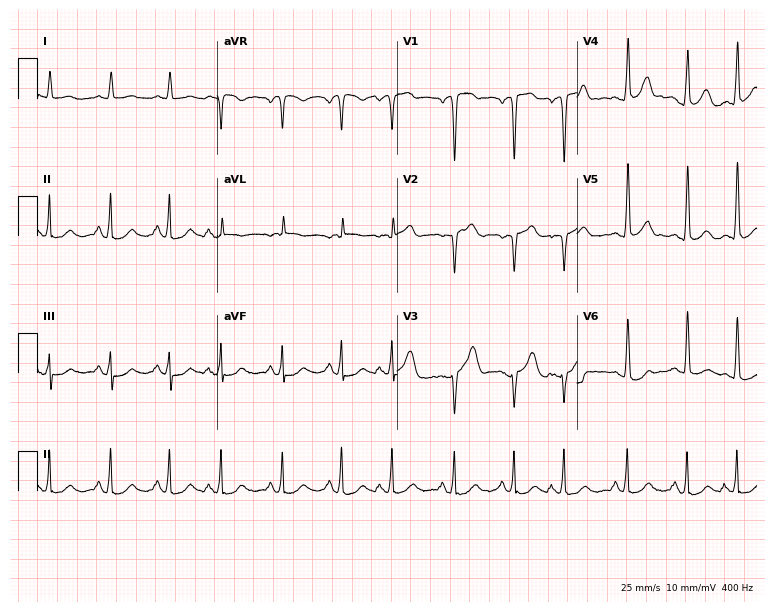
Standard 12-lead ECG recorded from an 81-year-old male (7.3-second recording at 400 Hz). None of these six findings is recorded: first-degree AV block, right bundle branch block, left bundle branch block, sinus bradycardia, atrial fibrillation, sinus tachycardia. Findings outside these six are not listed.